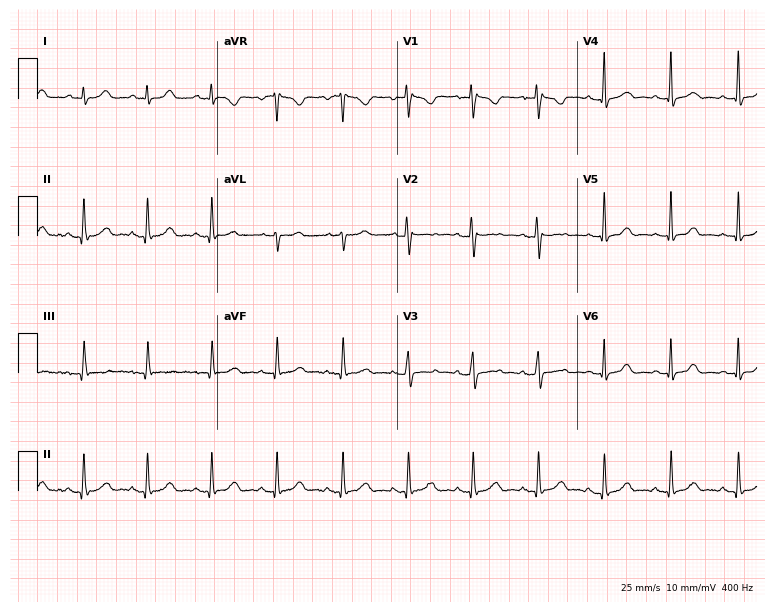
Resting 12-lead electrocardiogram (7.3-second recording at 400 Hz). Patient: a 45-year-old female. Read as a normal ECG.